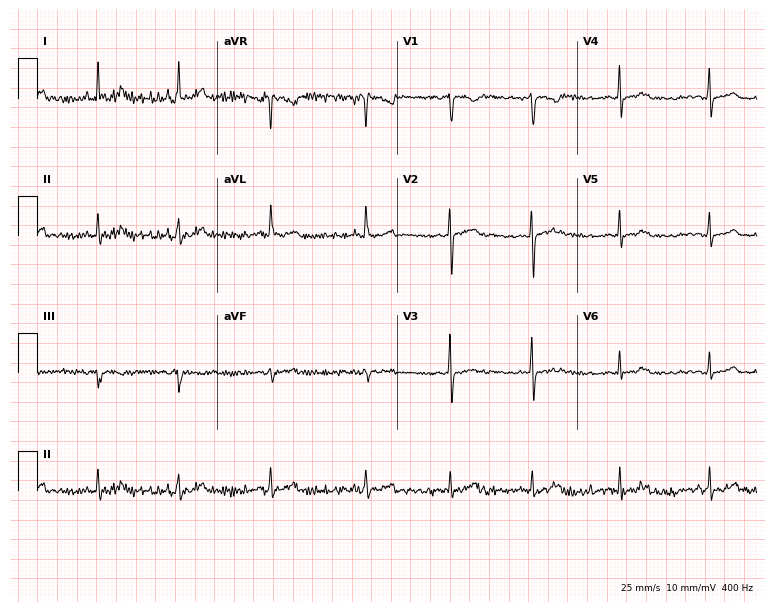
12-lead ECG (7.3-second recording at 400 Hz) from a female, 28 years old. Screened for six findings — first-degree AV block, right bundle branch block, left bundle branch block, sinus bradycardia, atrial fibrillation, sinus tachycardia — none is recorded.